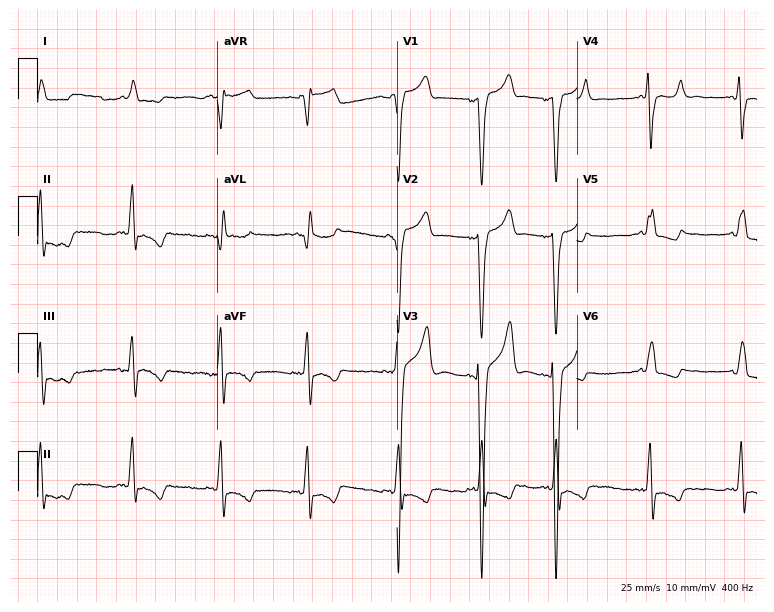
Electrocardiogram (7.3-second recording at 400 Hz), an 80-year-old male patient. Of the six screened findings (first-degree AV block, right bundle branch block, left bundle branch block, sinus bradycardia, atrial fibrillation, sinus tachycardia), none is recorded.